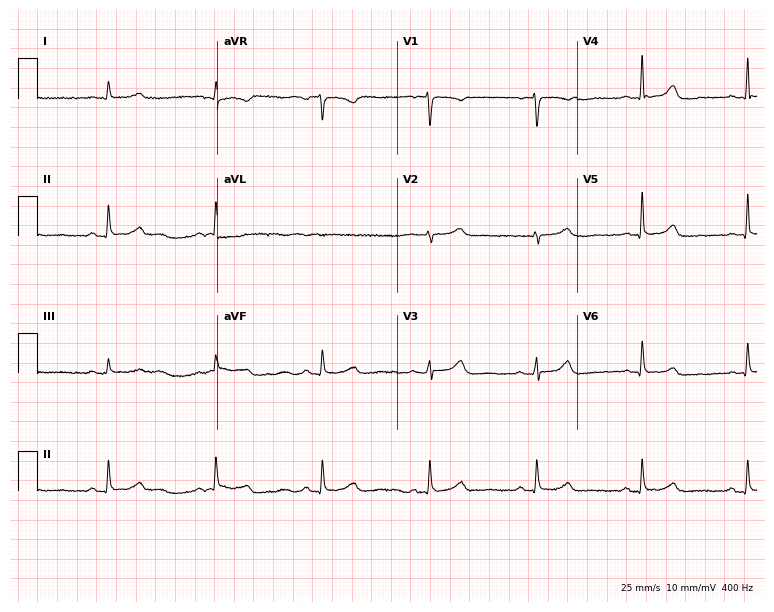
12-lead ECG from a 67-year-old man (7.3-second recording at 400 Hz). No first-degree AV block, right bundle branch block, left bundle branch block, sinus bradycardia, atrial fibrillation or sinus tachycardia recorded for this tracing.